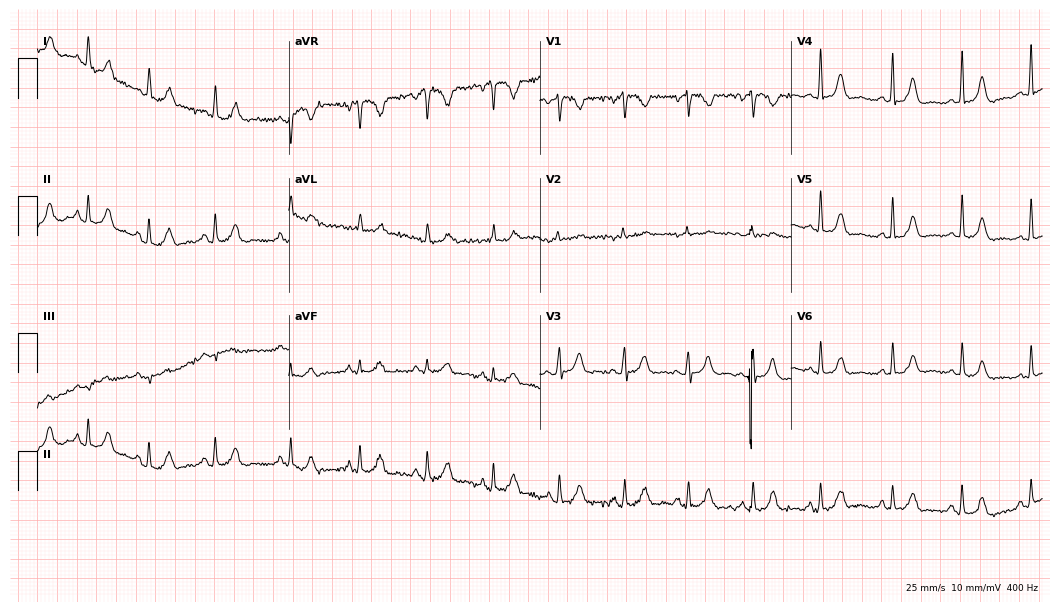
Standard 12-lead ECG recorded from a 34-year-old female patient. Read as a normal ECG.